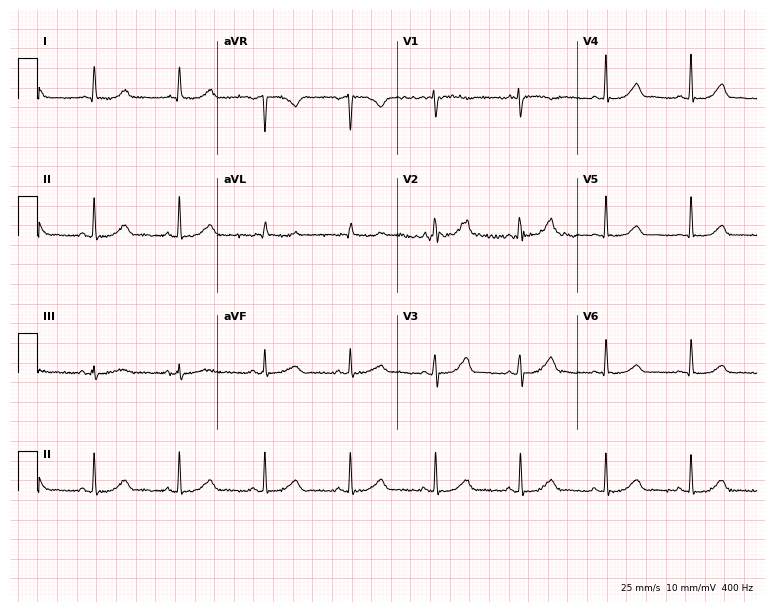
12-lead ECG from a 31-year-old female (7.3-second recording at 400 Hz). Recorded interpretation: within normal limits.